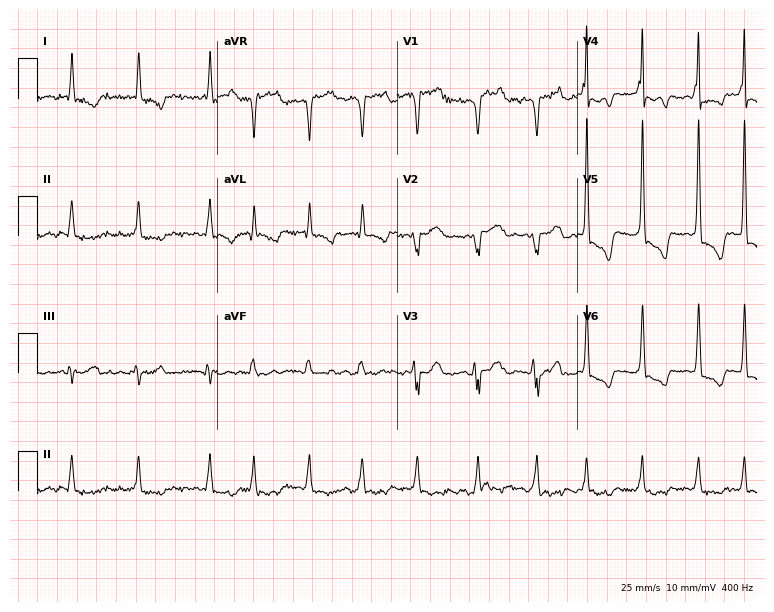
Resting 12-lead electrocardiogram (7.3-second recording at 400 Hz). Patient: a 70-year-old woman. The tracing shows atrial fibrillation.